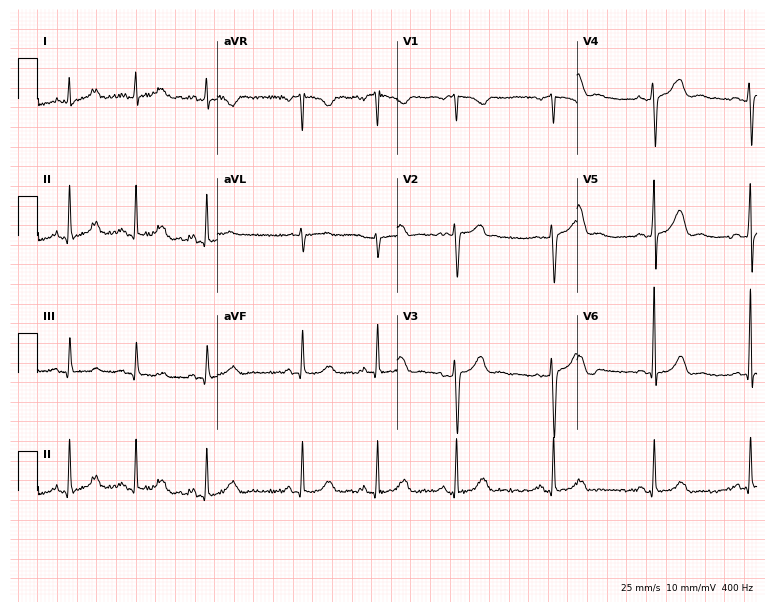
Electrocardiogram (7.3-second recording at 400 Hz), a 45-year-old female patient. Overall reading on record: normal ECG.